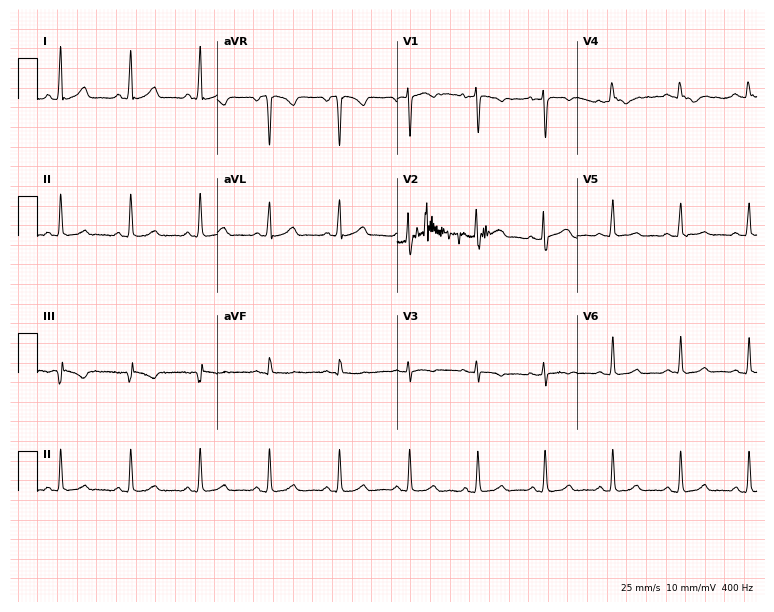
ECG — a 40-year-old woman. Screened for six findings — first-degree AV block, right bundle branch block, left bundle branch block, sinus bradycardia, atrial fibrillation, sinus tachycardia — none is recorded.